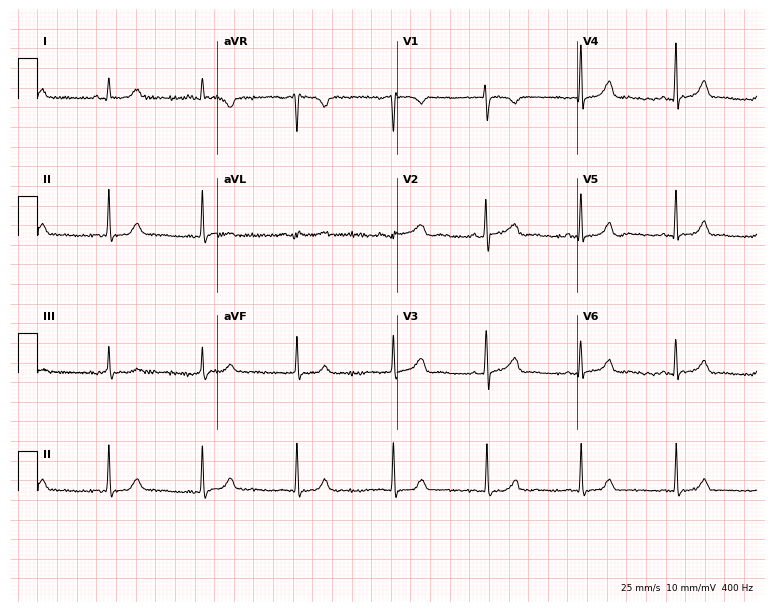
12-lead ECG (7.3-second recording at 400 Hz) from a woman, 44 years old. Screened for six findings — first-degree AV block, right bundle branch block, left bundle branch block, sinus bradycardia, atrial fibrillation, sinus tachycardia — none is recorded.